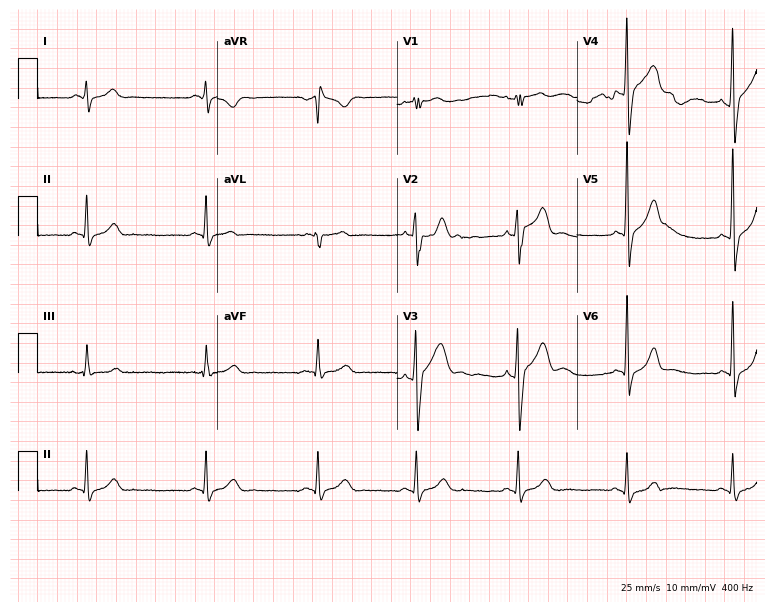
Standard 12-lead ECG recorded from a man, 20 years old. None of these six findings is recorded: first-degree AV block, right bundle branch block, left bundle branch block, sinus bradycardia, atrial fibrillation, sinus tachycardia.